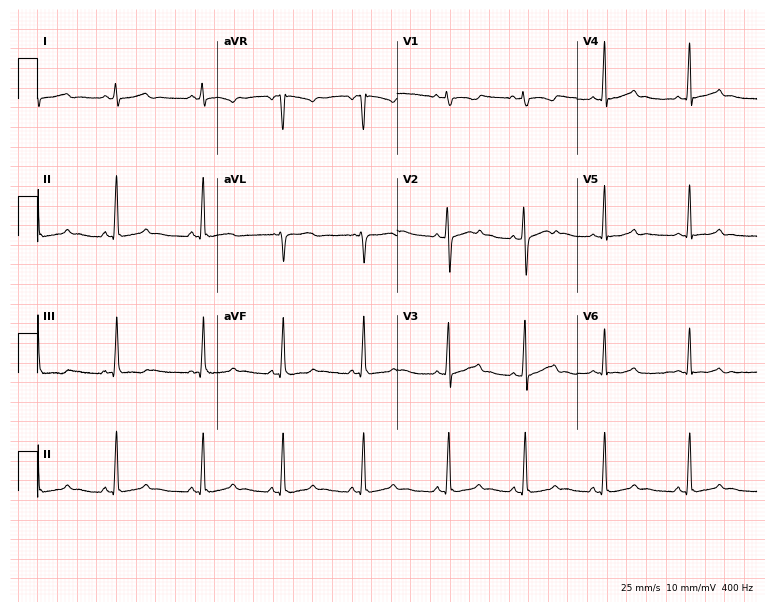
12-lead ECG from a woman, 19 years old. Recorded interpretation: within normal limits.